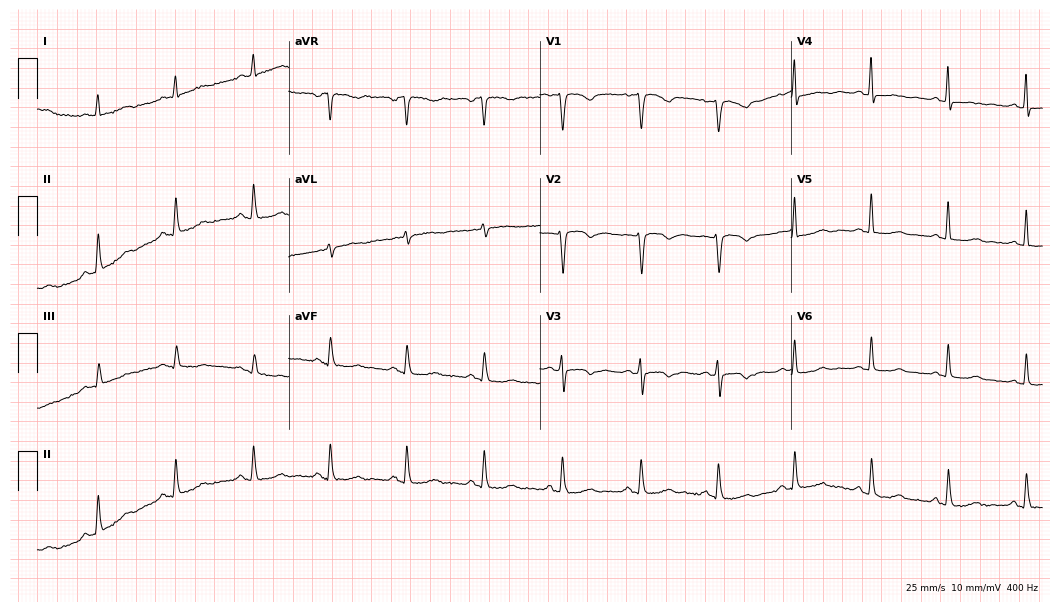
12-lead ECG from a 53-year-old female patient. No first-degree AV block, right bundle branch block, left bundle branch block, sinus bradycardia, atrial fibrillation or sinus tachycardia recorded for this tracing.